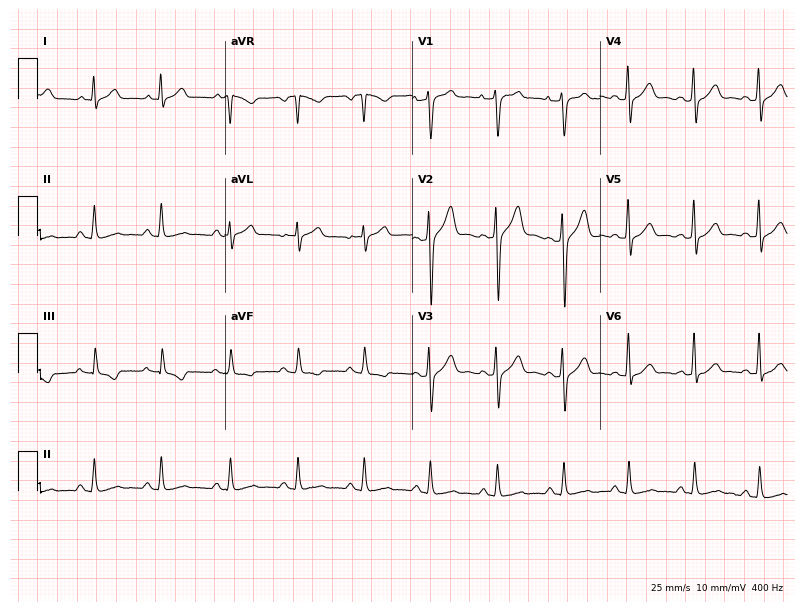
12-lead ECG from a male patient, 42 years old. Screened for six findings — first-degree AV block, right bundle branch block, left bundle branch block, sinus bradycardia, atrial fibrillation, sinus tachycardia — none is recorded.